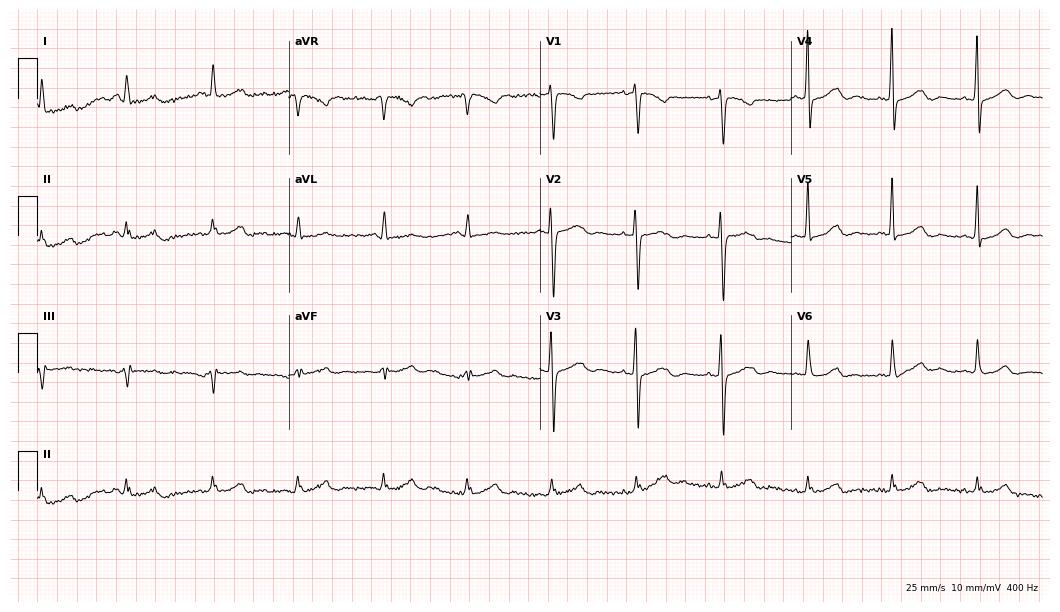
Electrocardiogram (10.2-second recording at 400 Hz), a 58-year-old female patient. Of the six screened findings (first-degree AV block, right bundle branch block, left bundle branch block, sinus bradycardia, atrial fibrillation, sinus tachycardia), none is recorded.